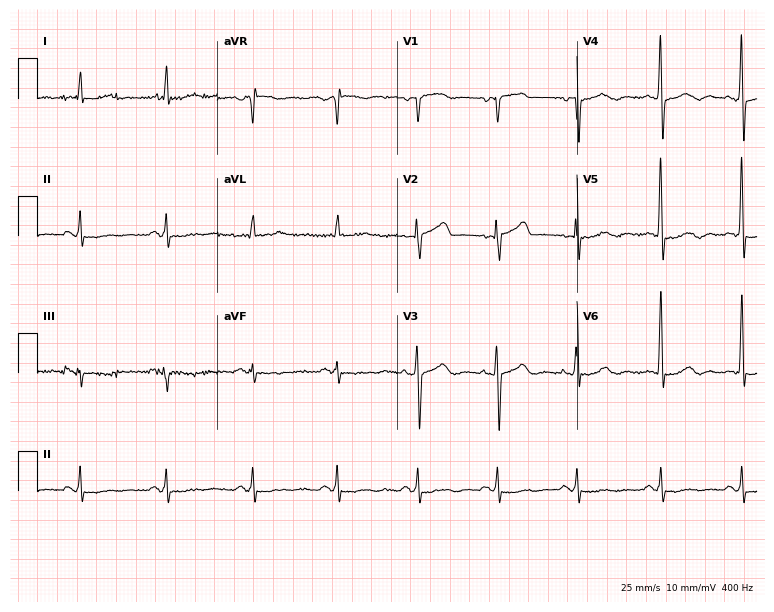
Resting 12-lead electrocardiogram. Patient: a man, 63 years old. Read as a normal ECG.